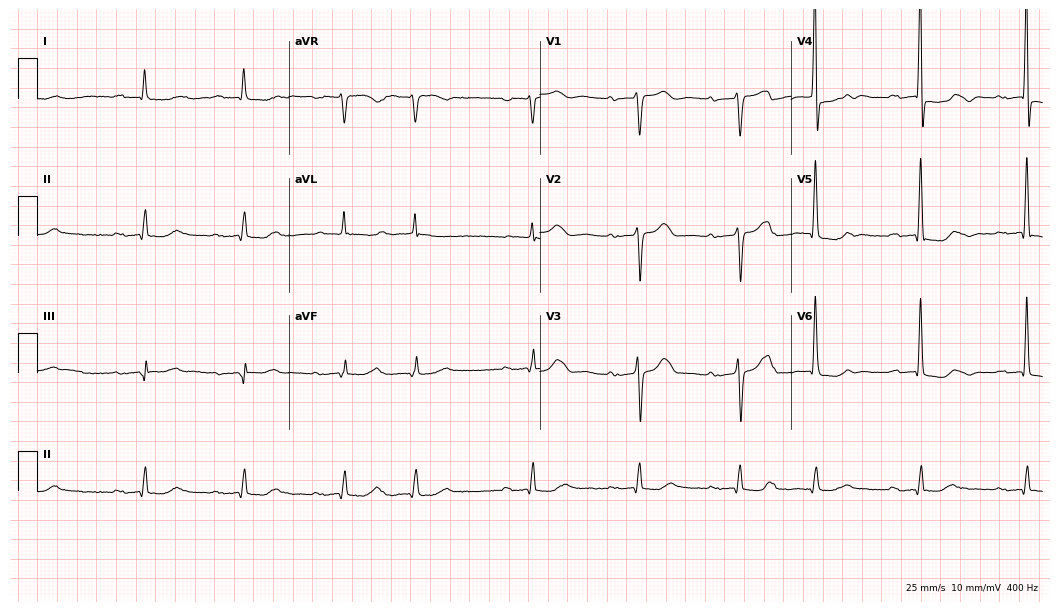
12-lead ECG from a man, 77 years old. Shows first-degree AV block, atrial fibrillation.